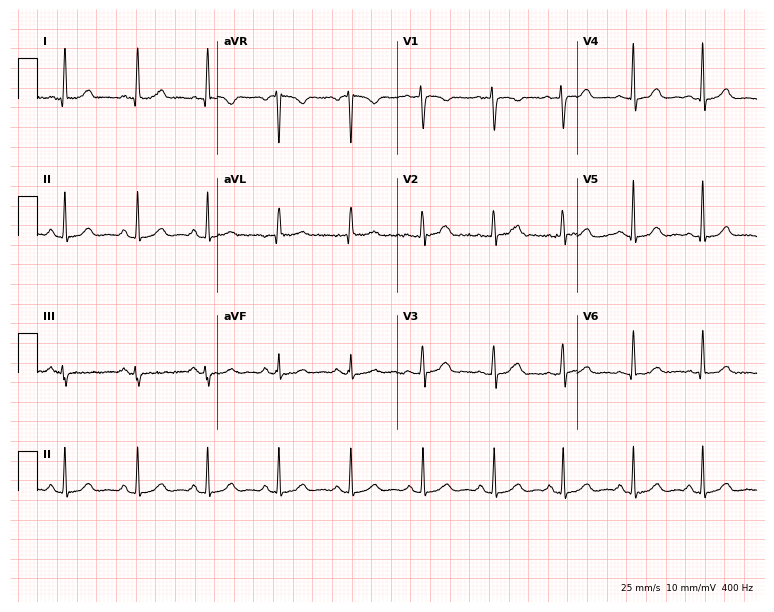
Electrocardiogram (7.3-second recording at 400 Hz), a 51-year-old female. Overall reading on record: normal ECG.